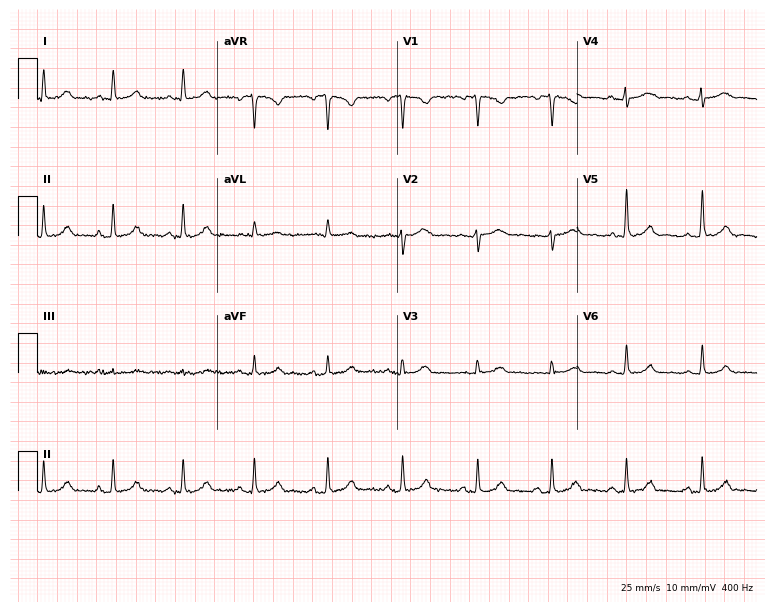
ECG (7.3-second recording at 400 Hz) — a female patient, 37 years old. Labelled as a normal ECG.